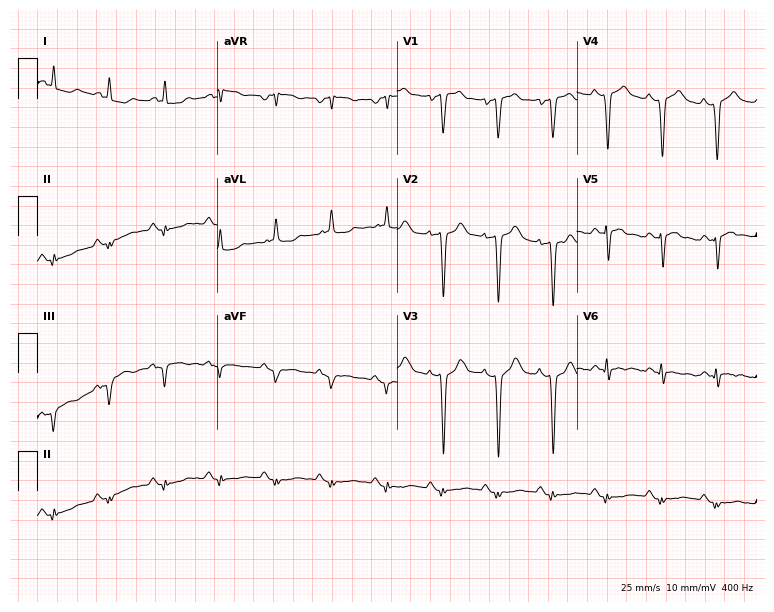
12-lead ECG (7.3-second recording at 400 Hz) from a 56-year-old male. Findings include sinus tachycardia (a sinus rate of 100 beats per minute or more).